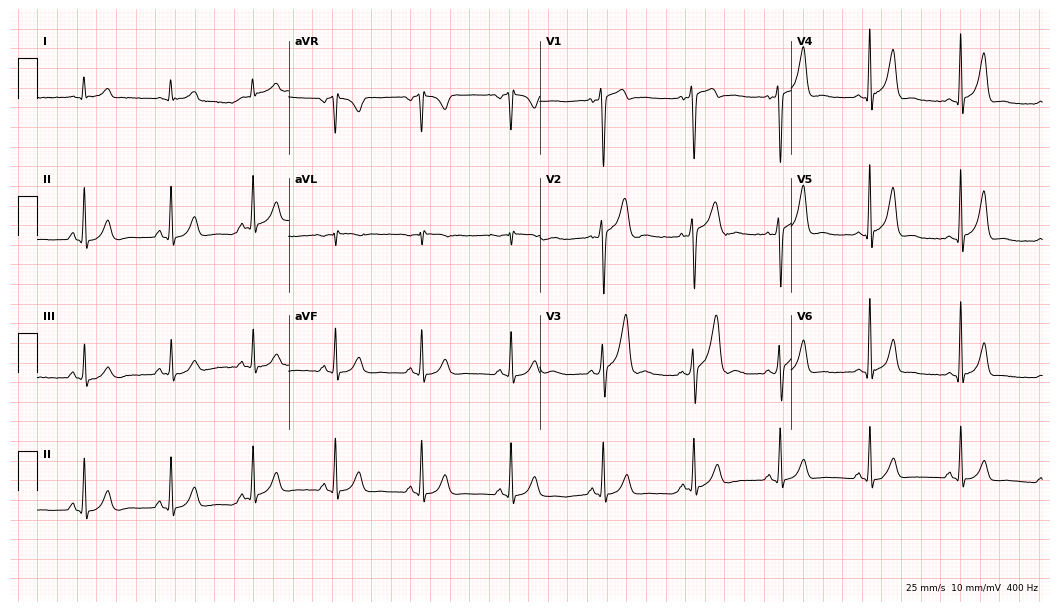
Resting 12-lead electrocardiogram (10.2-second recording at 400 Hz). Patient: a 42-year-old male. Read as a normal ECG.